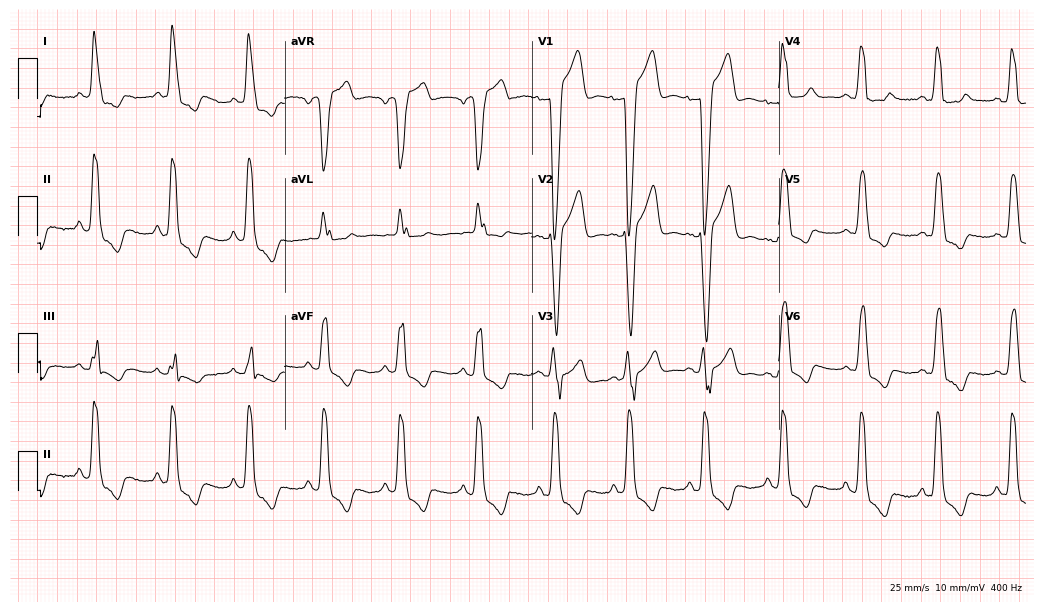
Resting 12-lead electrocardiogram (10.1-second recording at 400 Hz). Patient: a female, 63 years old. The tracing shows left bundle branch block.